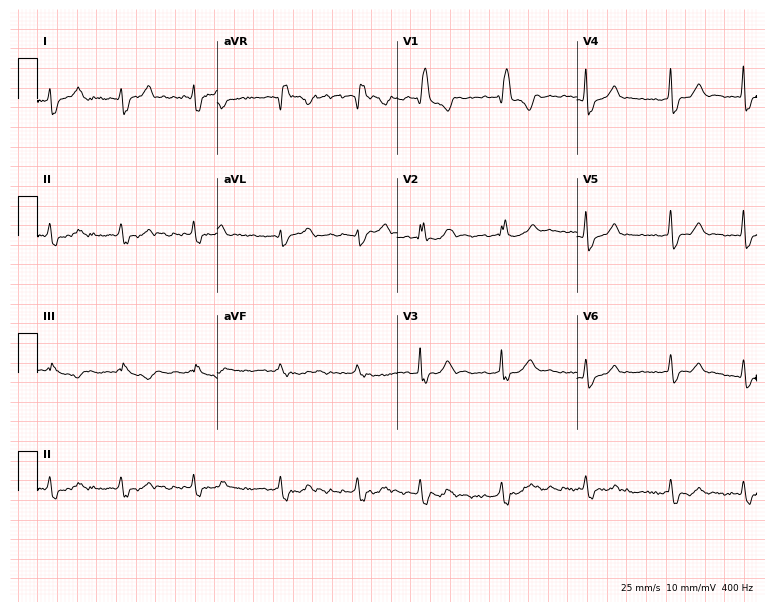
12-lead ECG from a 60-year-old woman (7.3-second recording at 400 Hz). Shows right bundle branch block, atrial fibrillation.